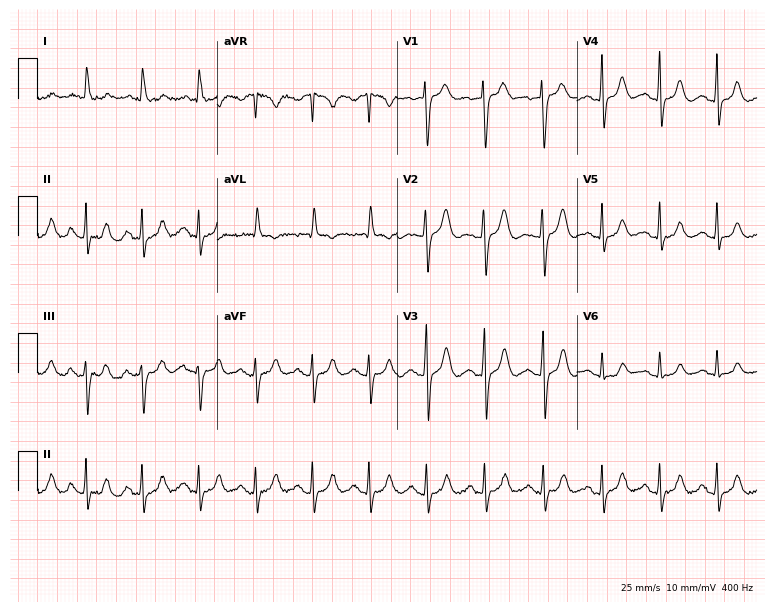
12-lead ECG from a female patient, 73 years old. Findings include sinus tachycardia (a sinus rate of 100 beats per minute or more).